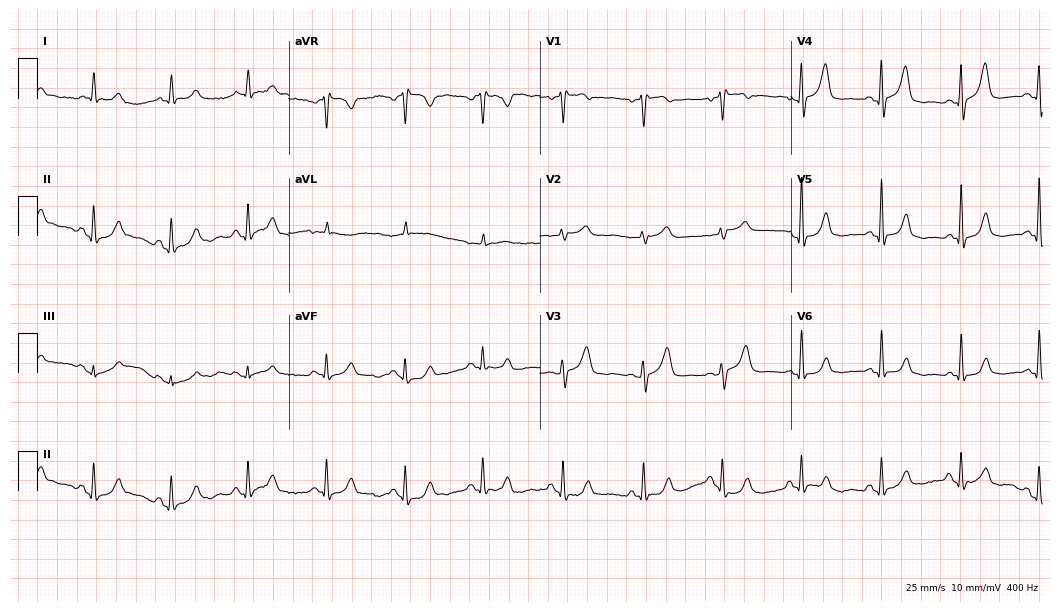
12-lead ECG from a 78-year-old female patient (10.2-second recording at 400 Hz). Recorded interpretation: within normal limits.